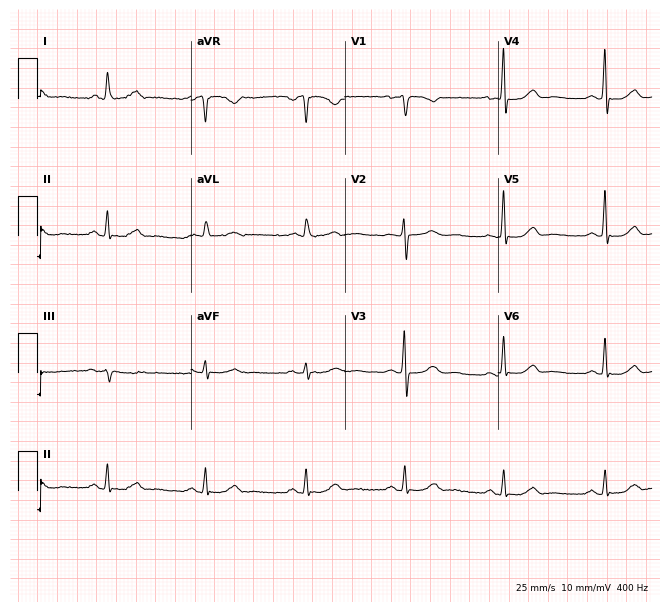
Standard 12-lead ECG recorded from a female, 62 years old. None of these six findings is recorded: first-degree AV block, right bundle branch block, left bundle branch block, sinus bradycardia, atrial fibrillation, sinus tachycardia.